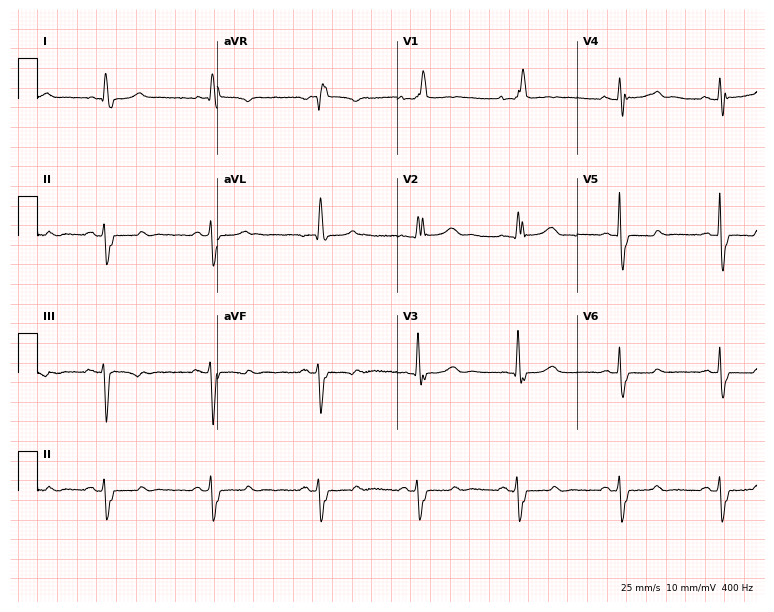
Resting 12-lead electrocardiogram (7.3-second recording at 400 Hz). Patient: a 67-year-old female. The tracing shows right bundle branch block, left bundle branch block.